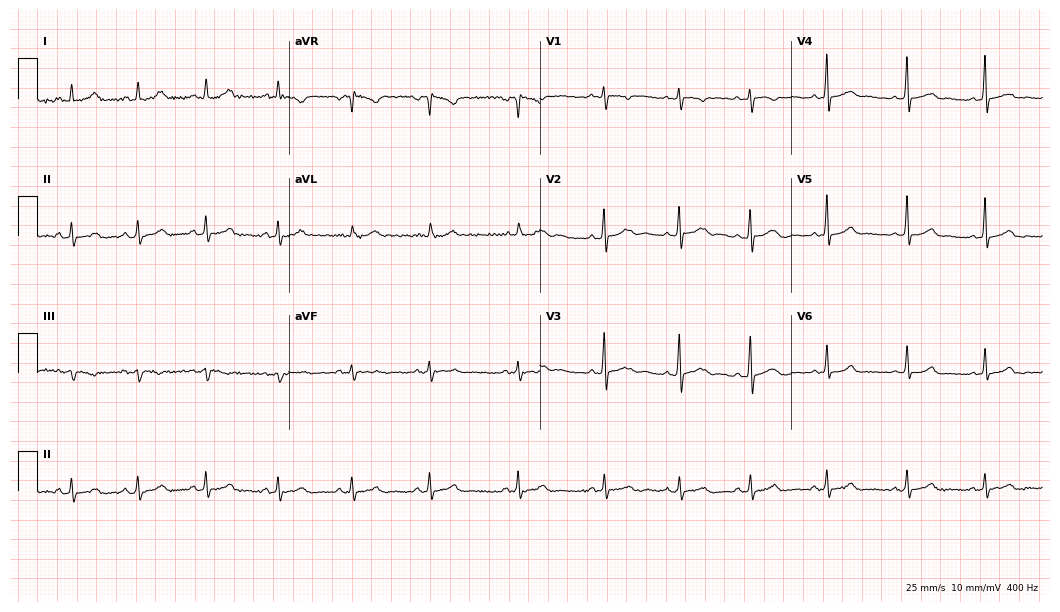
12-lead ECG from an 18-year-old female. Recorded interpretation: within normal limits.